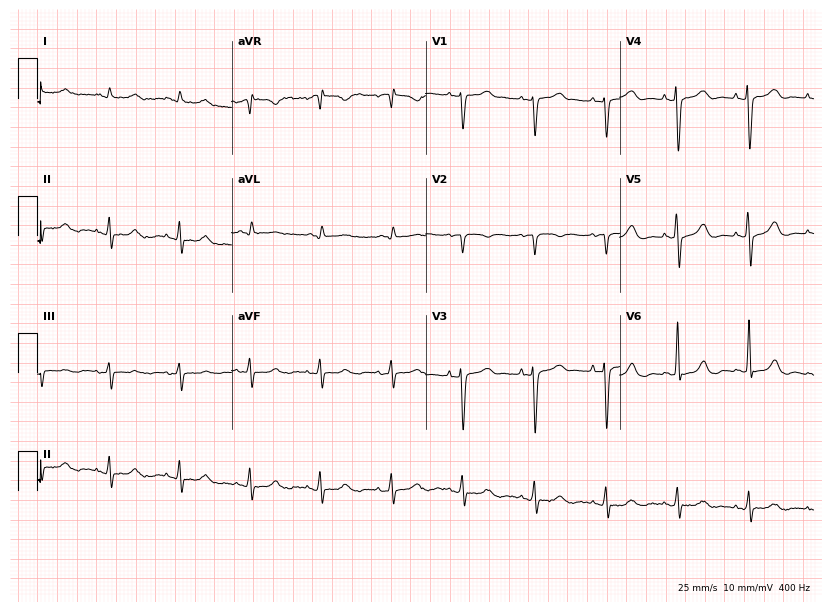
ECG — a 61-year-old female patient. Screened for six findings — first-degree AV block, right bundle branch block, left bundle branch block, sinus bradycardia, atrial fibrillation, sinus tachycardia — none is recorded. Only these six findings were labelled.